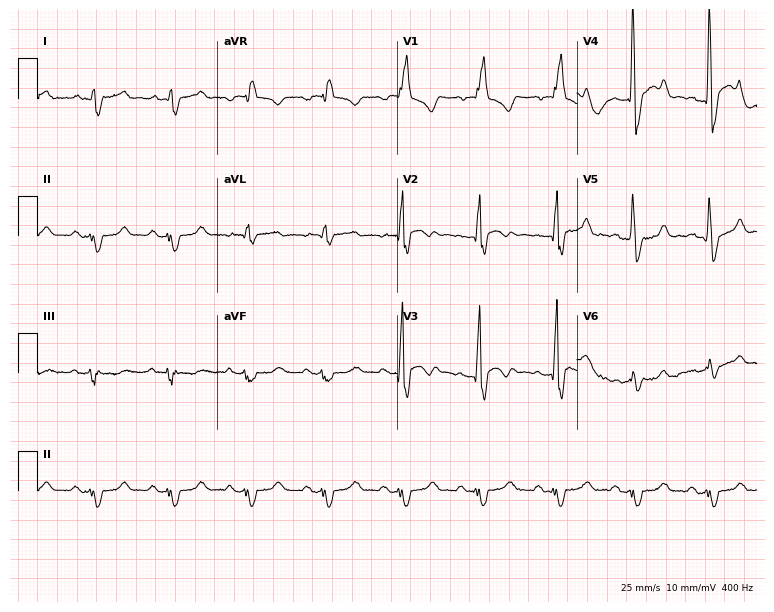
Standard 12-lead ECG recorded from a 58-year-old male patient (7.3-second recording at 400 Hz). The tracing shows right bundle branch block (RBBB).